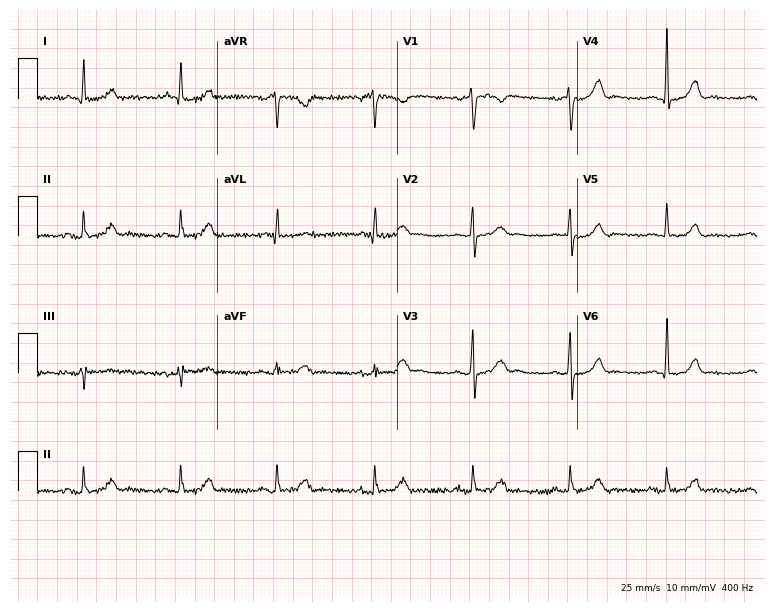
12-lead ECG (7.3-second recording at 400 Hz) from a female, 56 years old. Labelled as a normal ECG.